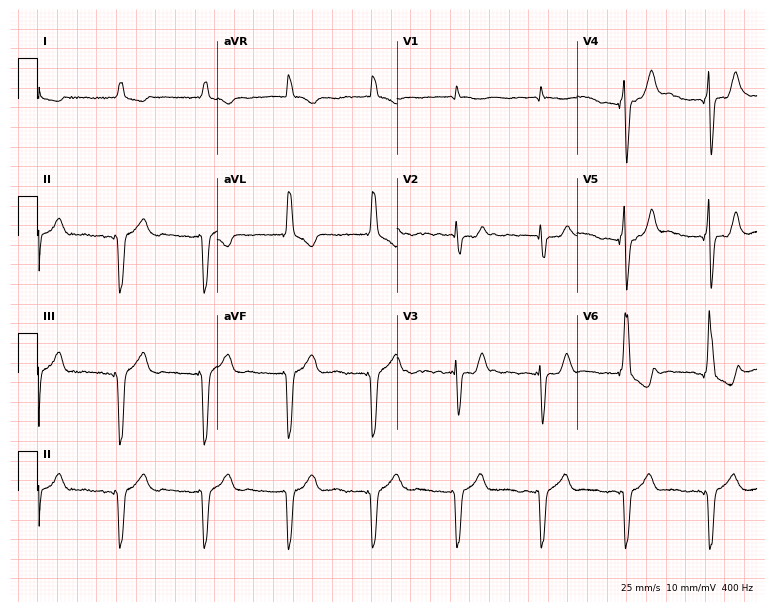
12-lead ECG from a male, 76 years old. Screened for six findings — first-degree AV block, right bundle branch block, left bundle branch block, sinus bradycardia, atrial fibrillation, sinus tachycardia — none is recorded.